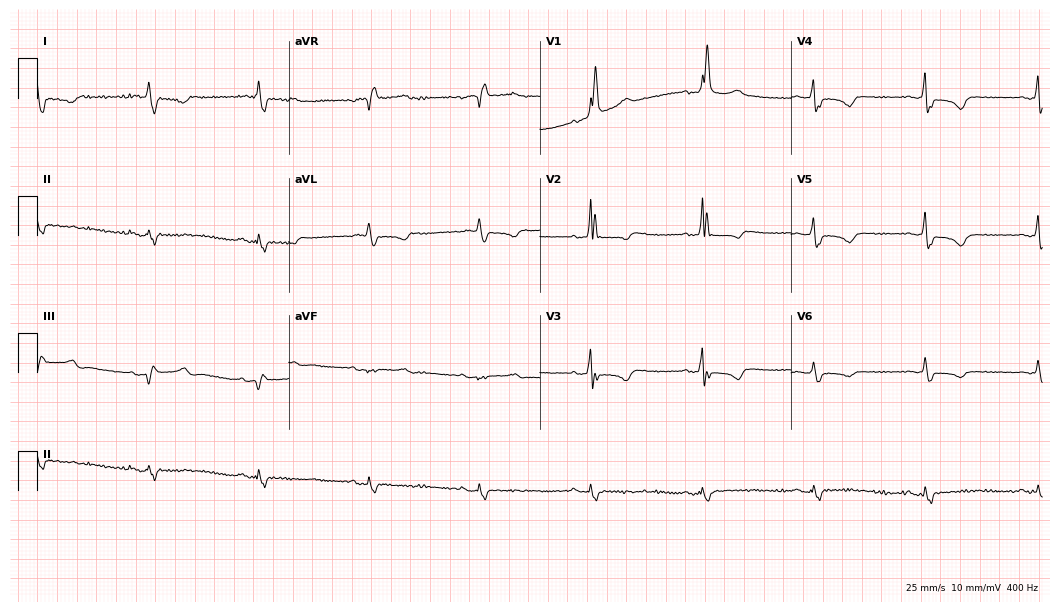
ECG — a 78-year-old female. Findings include right bundle branch block.